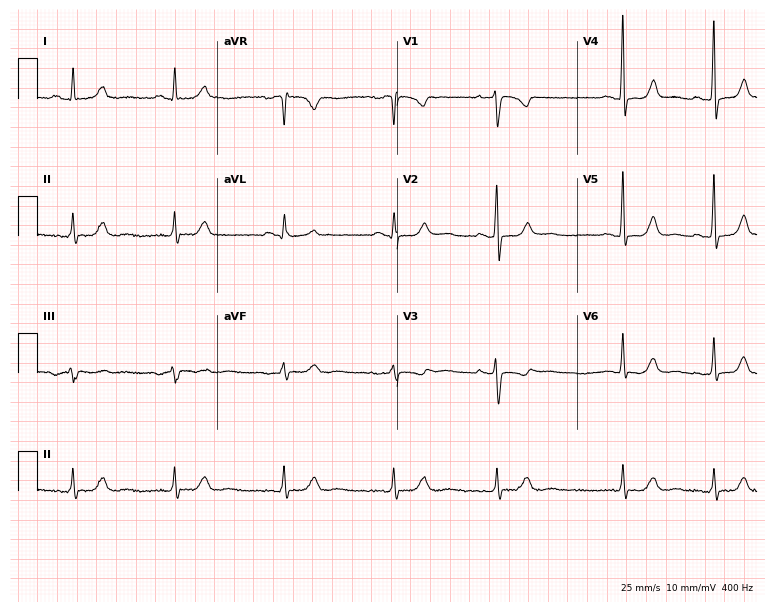
12-lead ECG from a female patient, 56 years old. Labelled as a normal ECG.